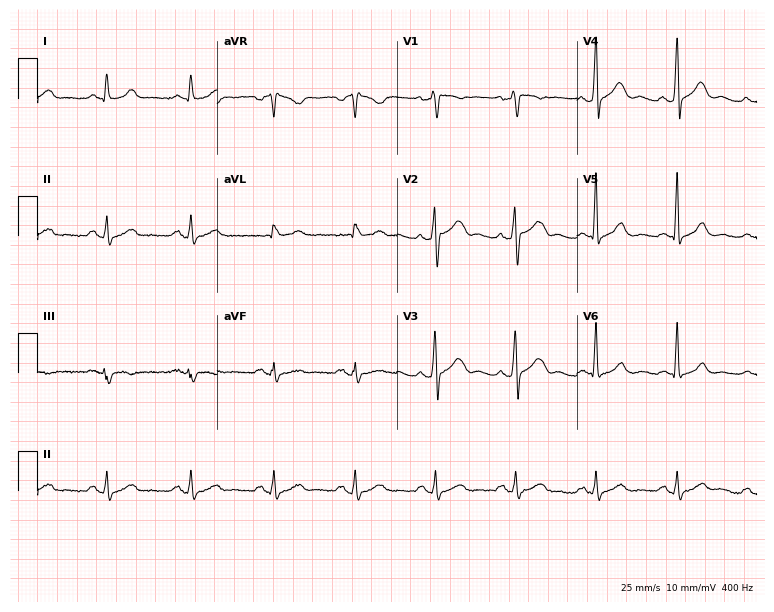
Resting 12-lead electrocardiogram. Patient: a male, 52 years old. Read as a normal ECG.